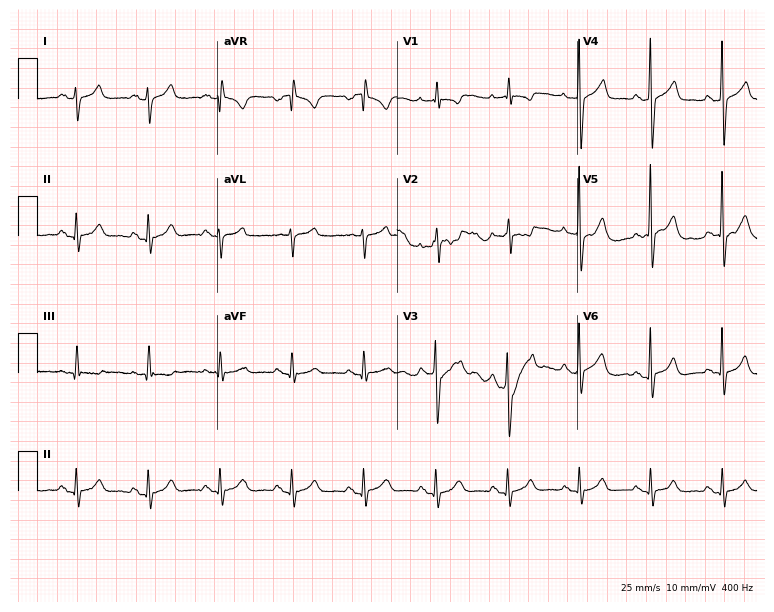
Resting 12-lead electrocardiogram (7.3-second recording at 400 Hz). Patient: a 27-year-old woman. None of these six findings is recorded: first-degree AV block, right bundle branch block, left bundle branch block, sinus bradycardia, atrial fibrillation, sinus tachycardia.